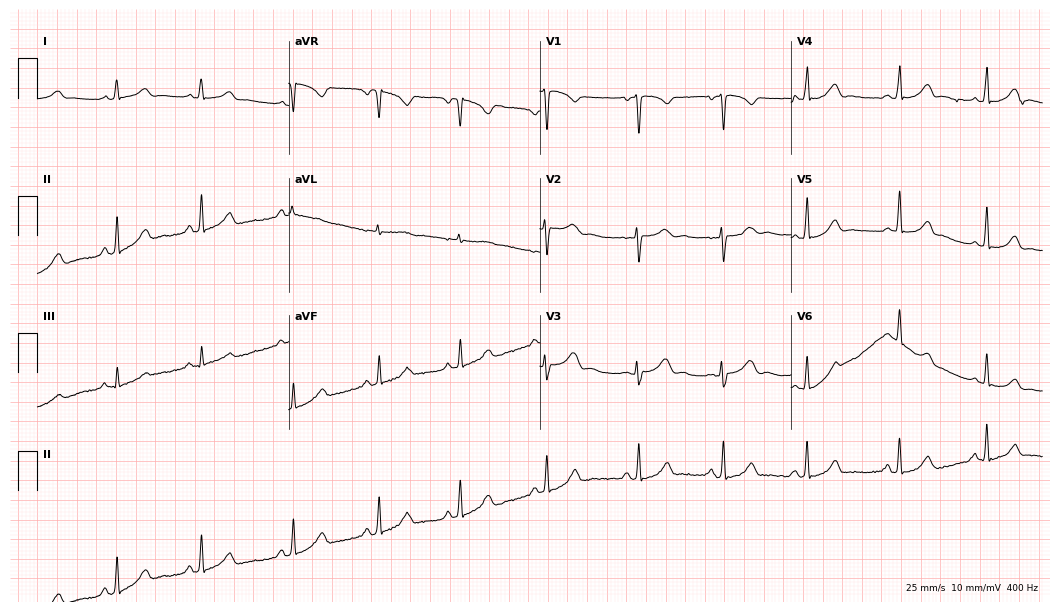
Electrocardiogram (10.2-second recording at 400 Hz), a female patient, 26 years old. Overall reading on record: normal ECG.